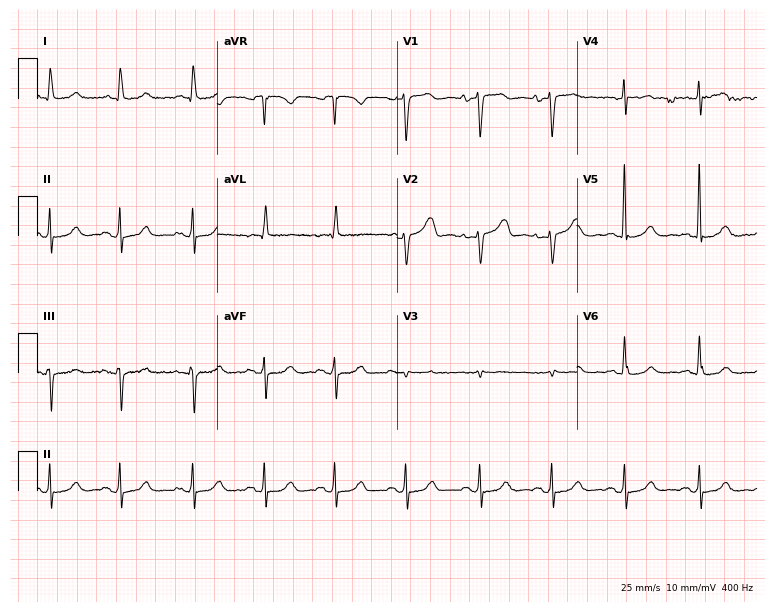
12-lead ECG from a female, 81 years old (7.3-second recording at 400 Hz). Recorded interpretation: within normal limits.